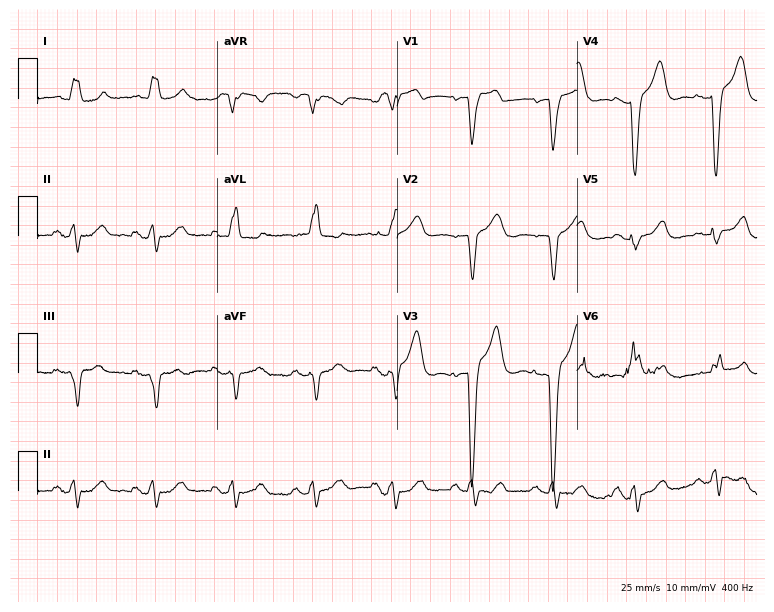
Standard 12-lead ECG recorded from an 86-year-old female patient. The tracing shows left bundle branch block (LBBB).